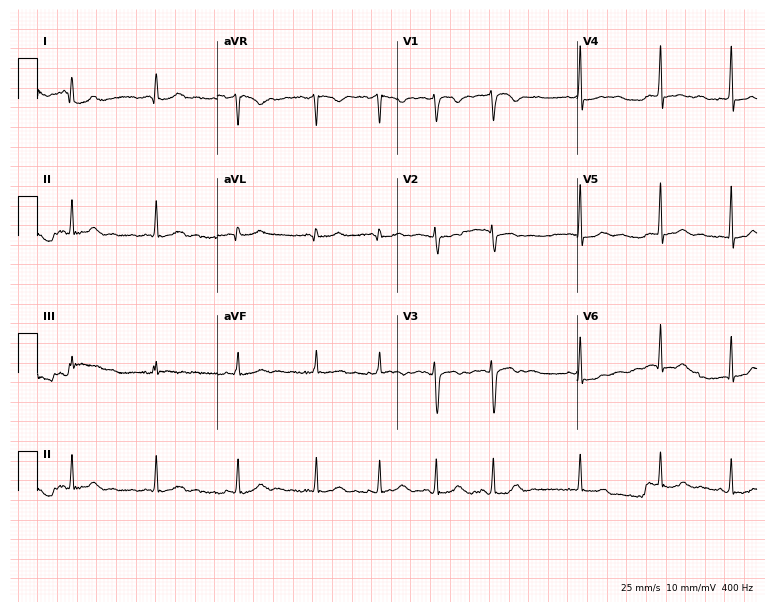
12-lead ECG from a 19-year-old female. Findings include atrial fibrillation (AF).